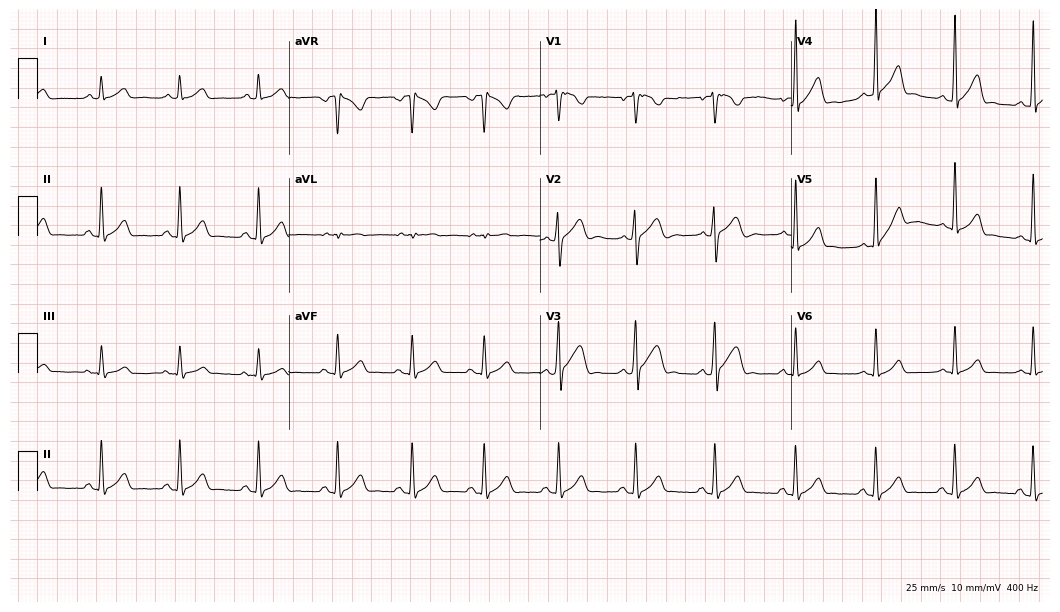
Electrocardiogram (10.2-second recording at 400 Hz), a 21-year-old man. Overall reading on record: normal ECG.